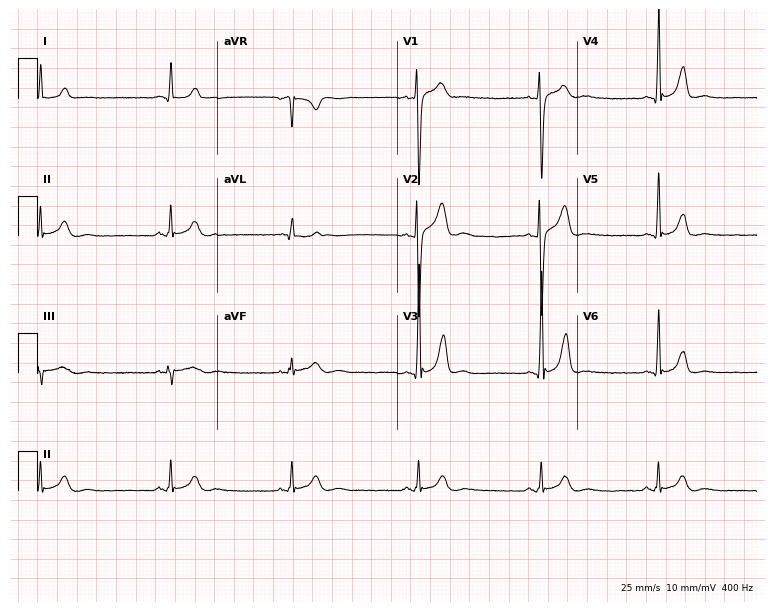
Resting 12-lead electrocardiogram (7.3-second recording at 400 Hz). Patient: a 19-year-old male. The tracing shows sinus bradycardia (a sinus rate of 50 beats per minute or less).